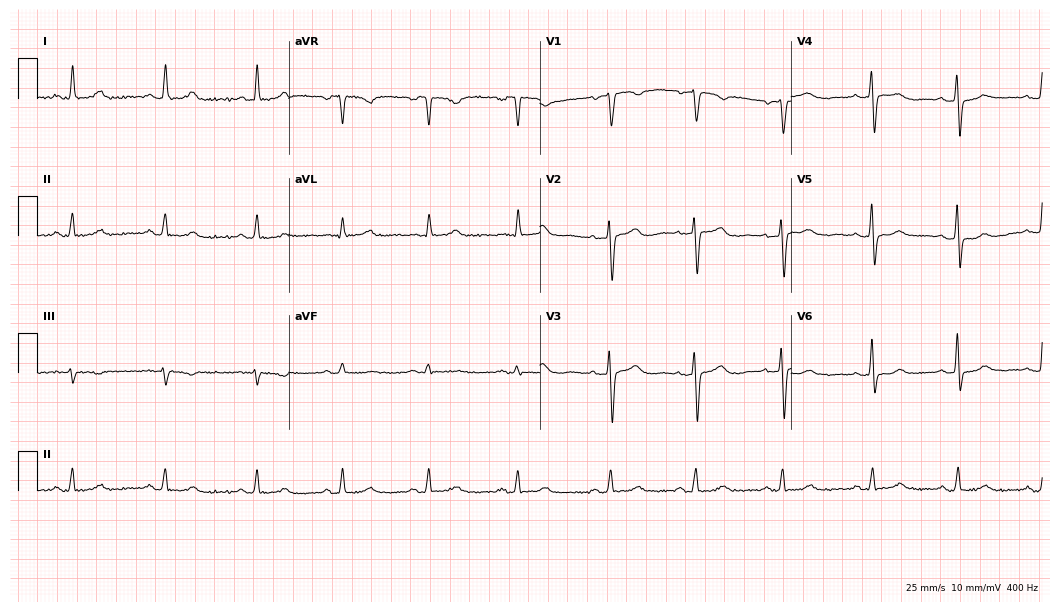
Standard 12-lead ECG recorded from a woman, 70 years old. Read as a normal ECG.